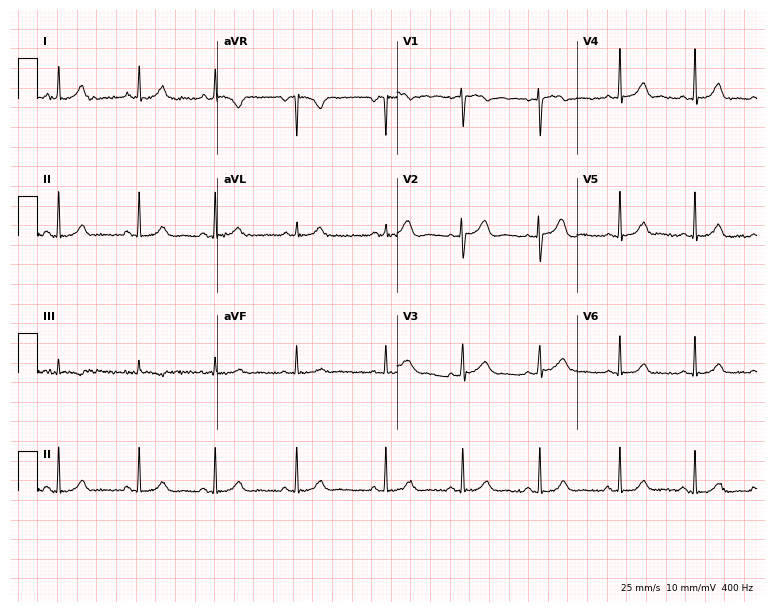
12-lead ECG from a 21-year-old woman. Recorded interpretation: within normal limits.